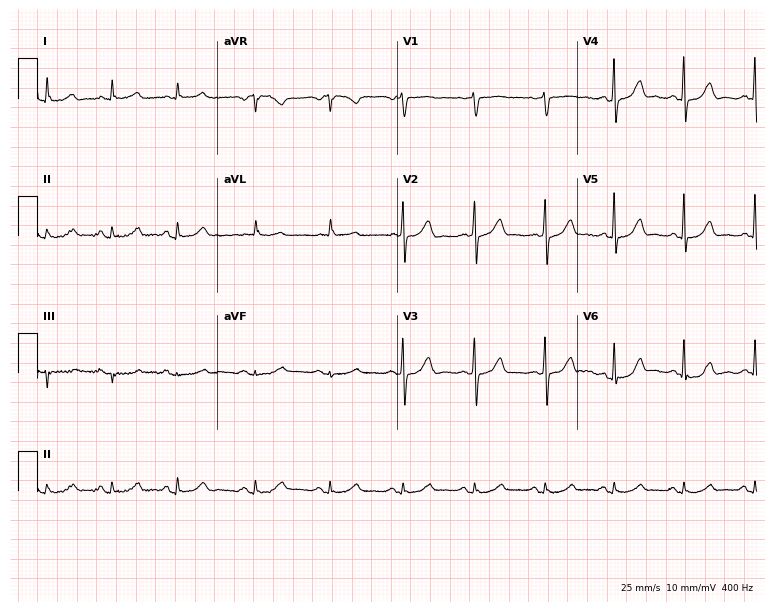
Electrocardiogram (7.3-second recording at 400 Hz), a 66-year-old woman. Of the six screened findings (first-degree AV block, right bundle branch block (RBBB), left bundle branch block (LBBB), sinus bradycardia, atrial fibrillation (AF), sinus tachycardia), none is recorded. Findings outside these six are not listed.